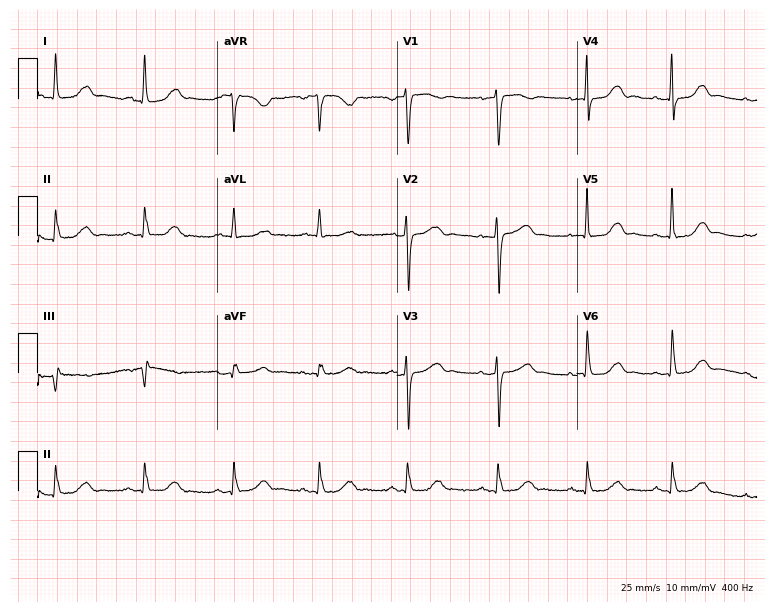
12-lead ECG from a 57-year-old female (7.3-second recording at 400 Hz). Recorded interpretation: within normal limits.